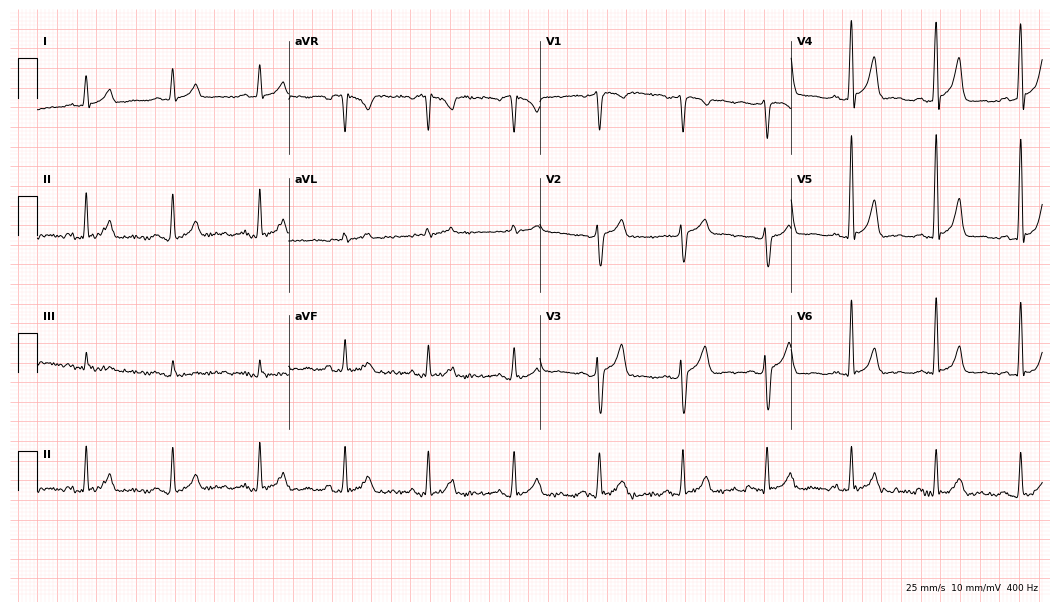
12-lead ECG from a 43-year-old male patient (10.2-second recording at 400 Hz). No first-degree AV block, right bundle branch block, left bundle branch block, sinus bradycardia, atrial fibrillation or sinus tachycardia recorded for this tracing. Other findings, if any, are not listed.